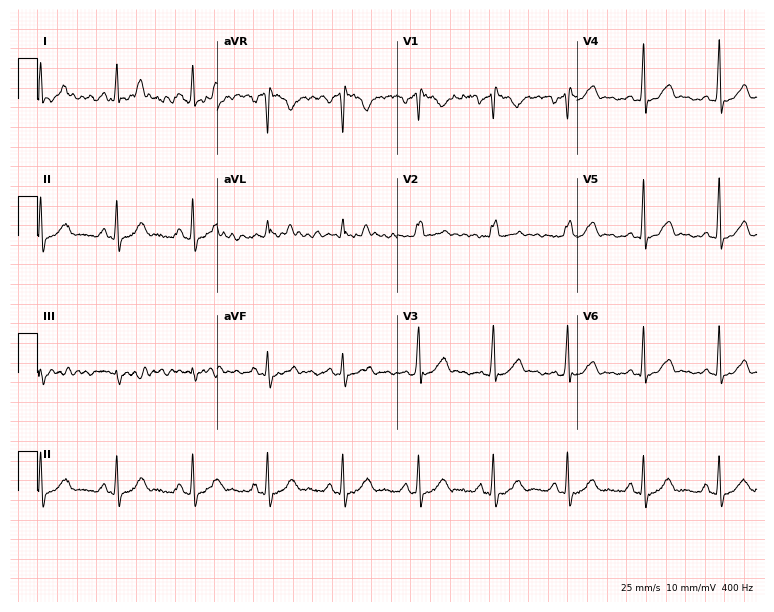
Electrocardiogram, a female, 35 years old. Of the six screened findings (first-degree AV block, right bundle branch block, left bundle branch block, sinus bradycardia, atrial fibrillation, sinus tachycardia), none is recorded. Findings outside these six are not listed.